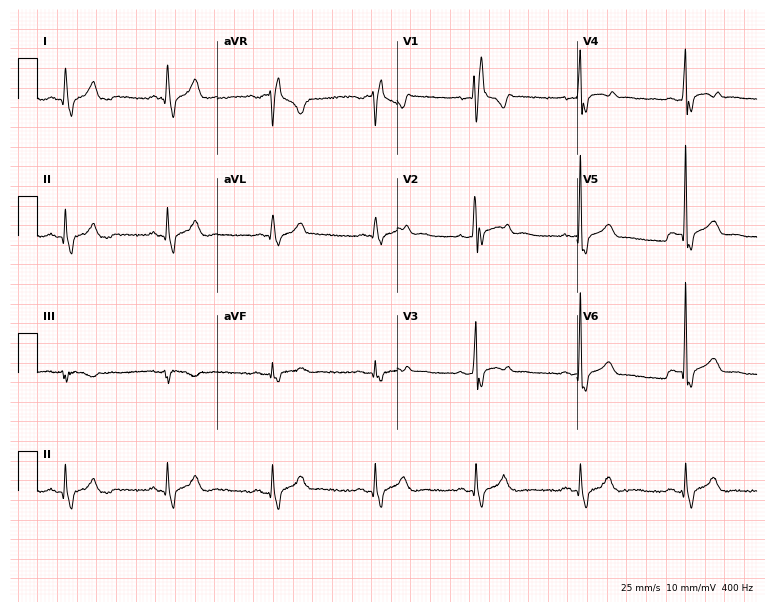
12-lead ECG from a female, 33 years old. Shows right bundle branch block.